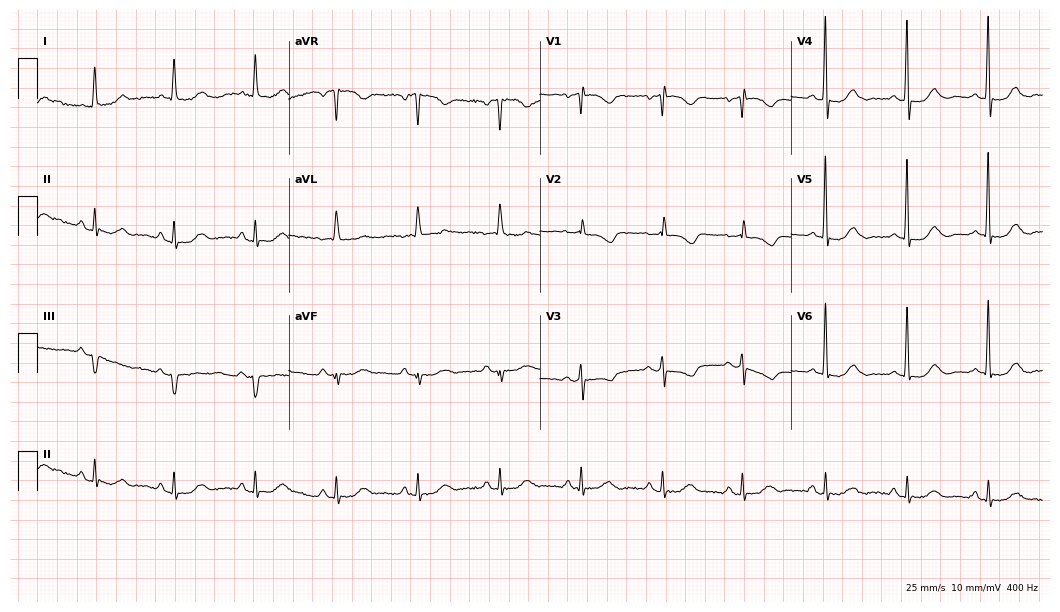
Resting 12-lead electrocardiogram. Patient: a woman, 82 years old. None of these six findings is recorded: first-degree AV block, right bundle branch block, left bundle branch block, sinus bradycardia, atrial fibrillation, sinus tachycardia.